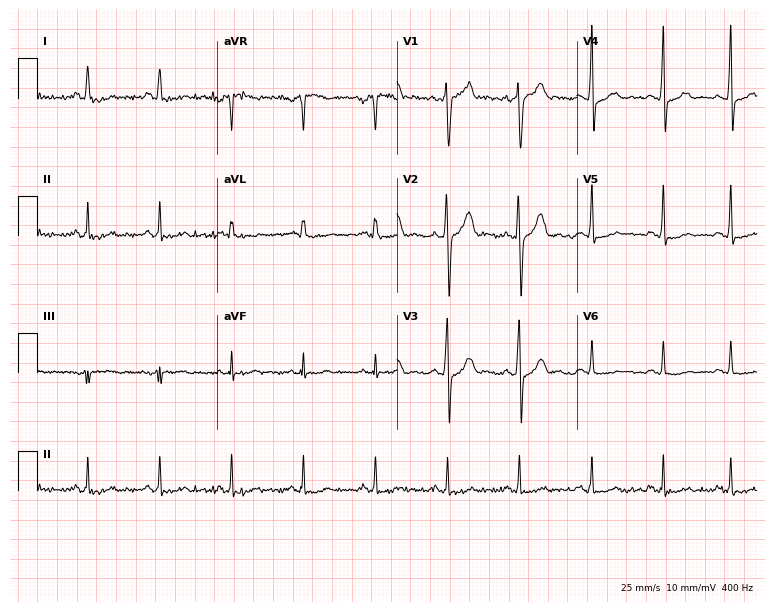
Electrocardiogram, a 50-year-old man. Overall reading on record: normal ECG.